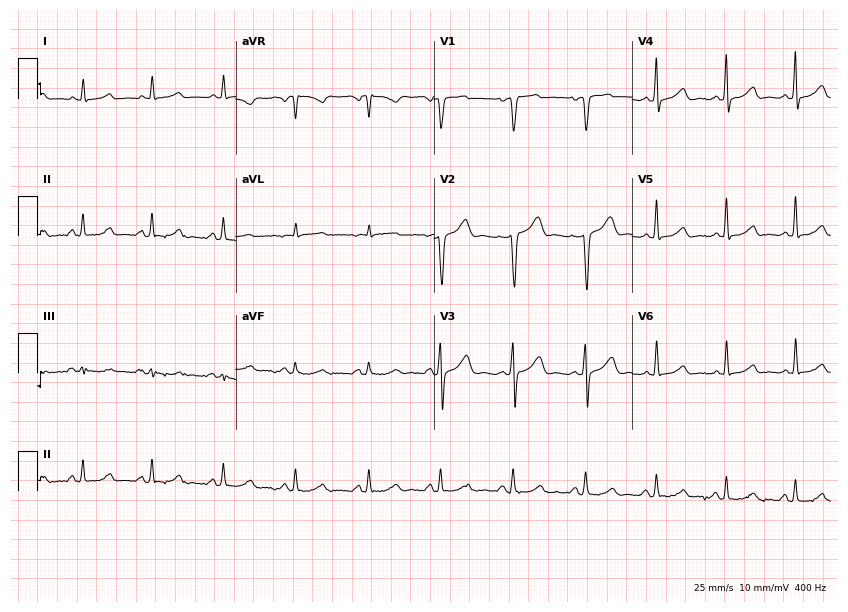
ECG (8.1-second recording at 400 Hz) — a 37-year-old female patient. Labelled as a normal ECG.